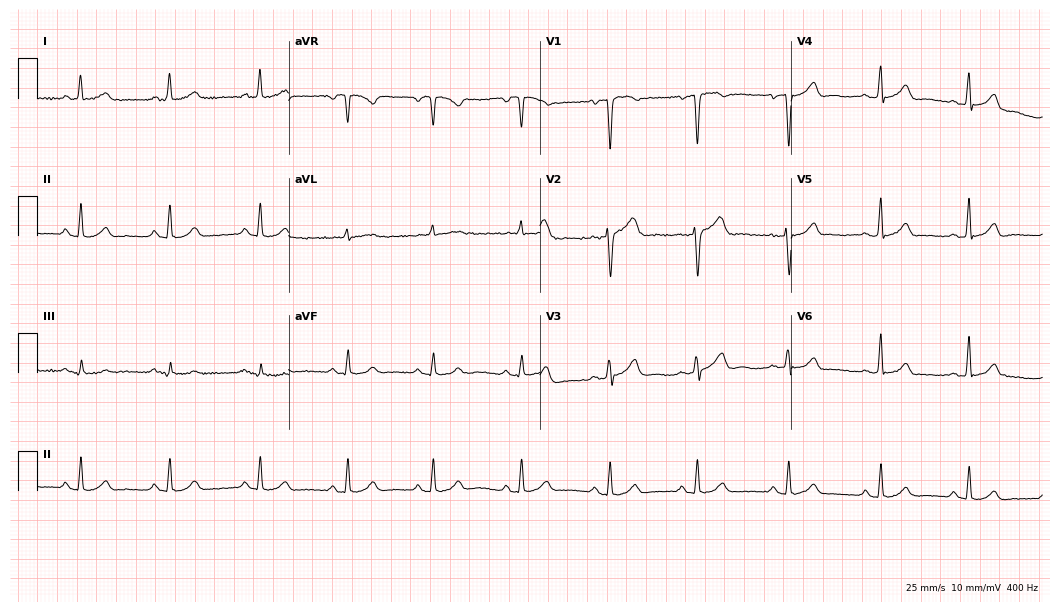
ECG — a 53-year-old male. Labelled as a normal ECG.